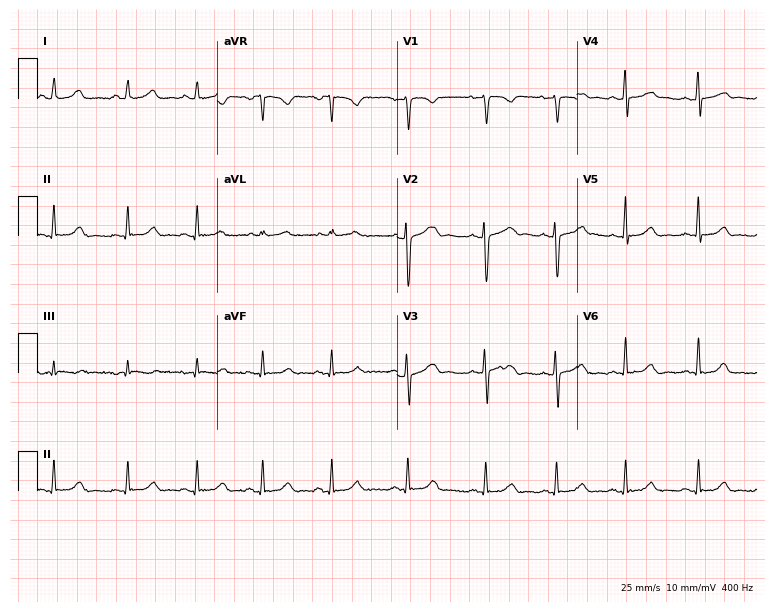
Electrocardiogram, a female patient, 21 years old. Overall reading on record: normal ECG.